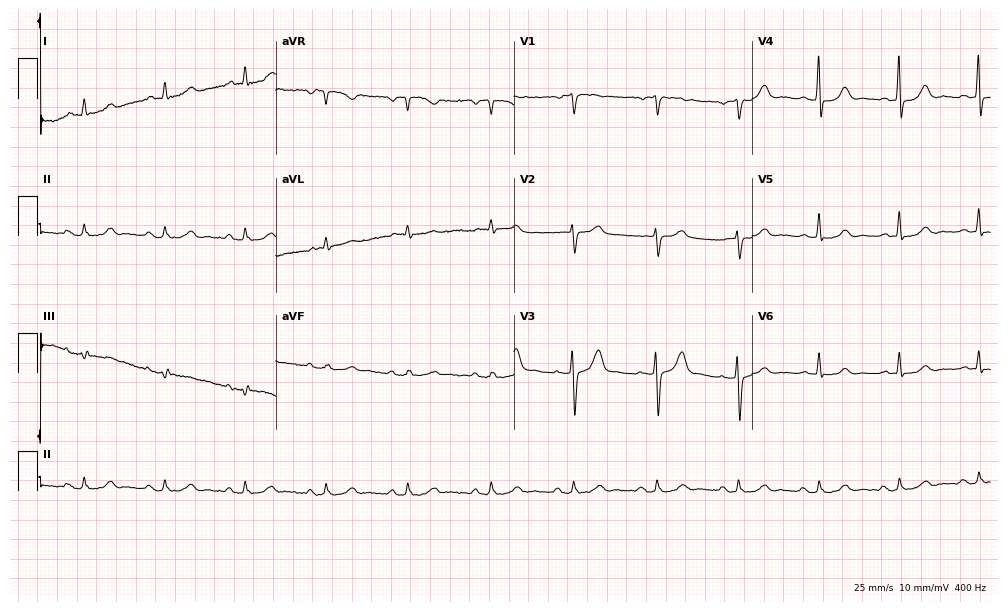
Standard 12-lead ECG recorded from a 72-year-old male patient (9.7-second recording at 400 Hz). None of these six findings is recorded: first-degree AV block, right bundle branch block (RBBB), left bundle branch block (LBBB), sinus bradycardia, atrial fibrillation (AF), sinus tachycardia. Other findings, if any, are not listed.